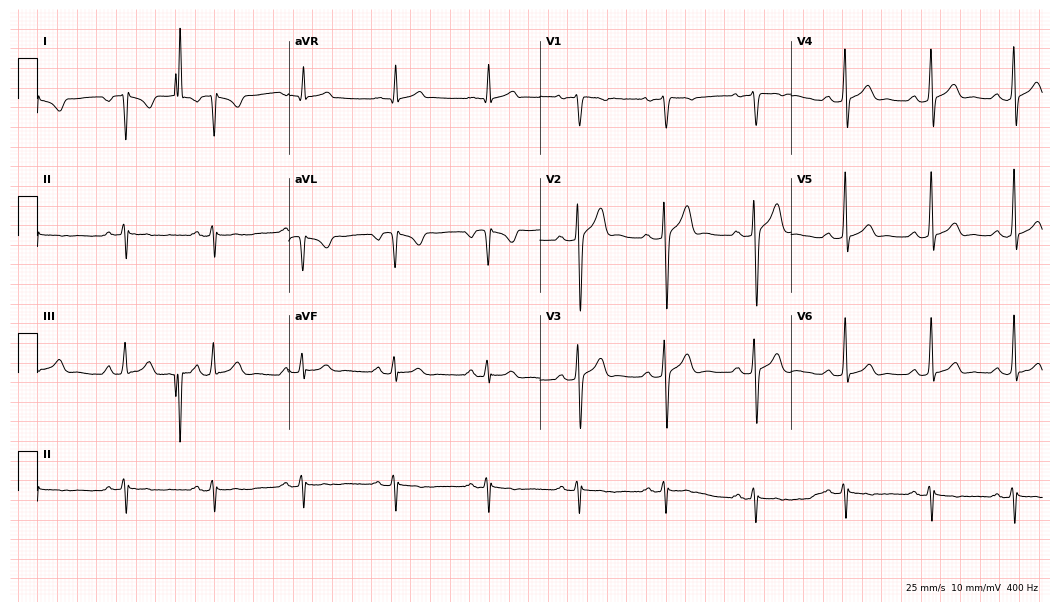
Electrocardiogram, a 42-year-old man. Of the six screened findings (first-degree AV block, right bundle branch block (RBBB), left bundle branch block (LBBB), sinus bradycardia, atrial fibrillation (AF), sinus tachycardia), none is recorded. Other findings, if any, are not listed.